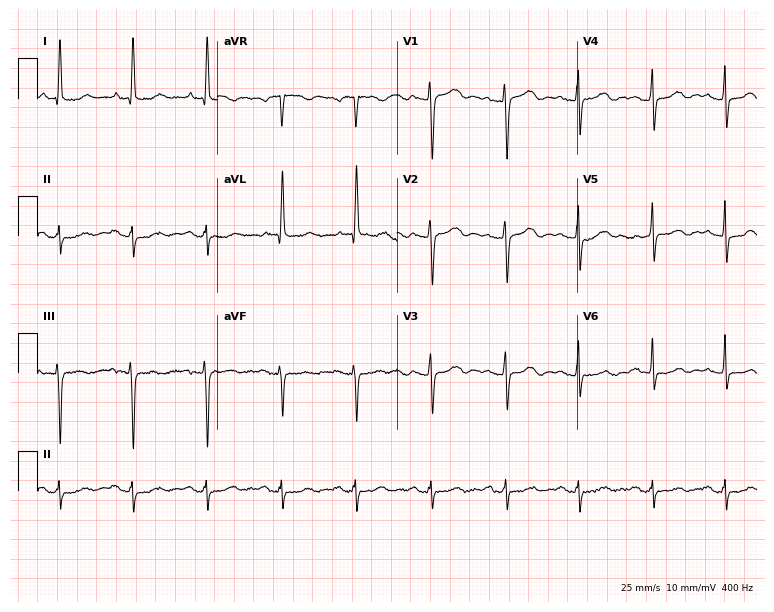
12-lead ECG from a female patient, 79 years old. No first-degree AV block, right bundle branch block, left bundle branch block, sinus bradycardia, atrial fibrillation or sinus tachycardia recorded for this tracing. Other findings, if any, are not listed.